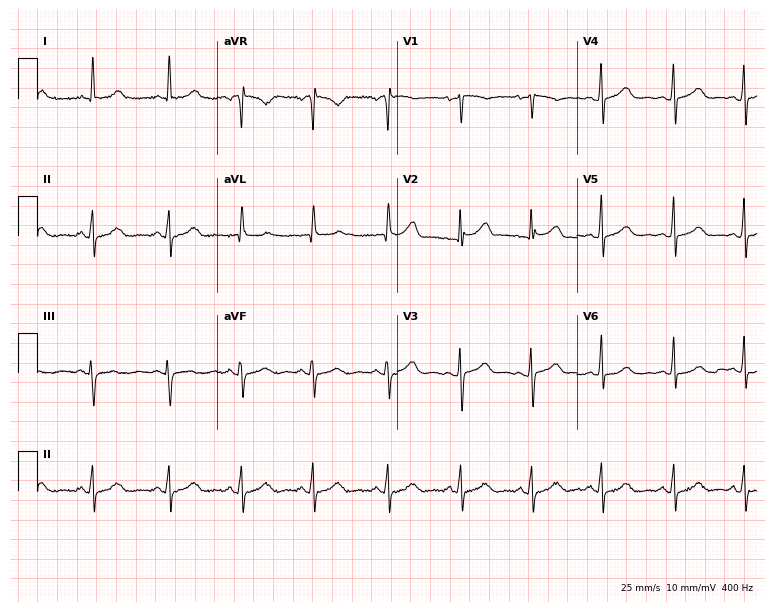
Electrocardiogram, a 46-year-old female patient. Overall reading on record: normal ECG.